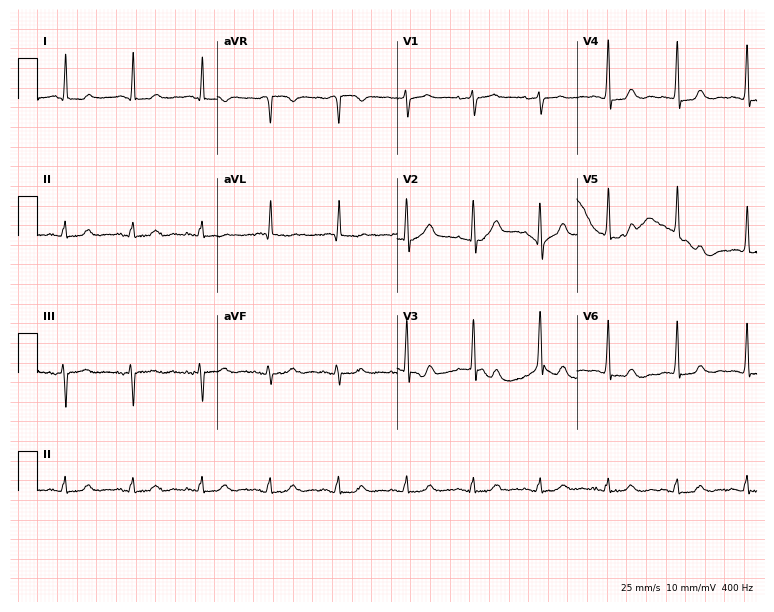
12-lead ECG from a woman, 85 years old. Screened for six findings — first-degree AV block, right bundle branch block, left bundle branch block, sinus bradycardia, atrial fibrillation, sinus tachycardia — none is recorded. Only these six findings were labelled.